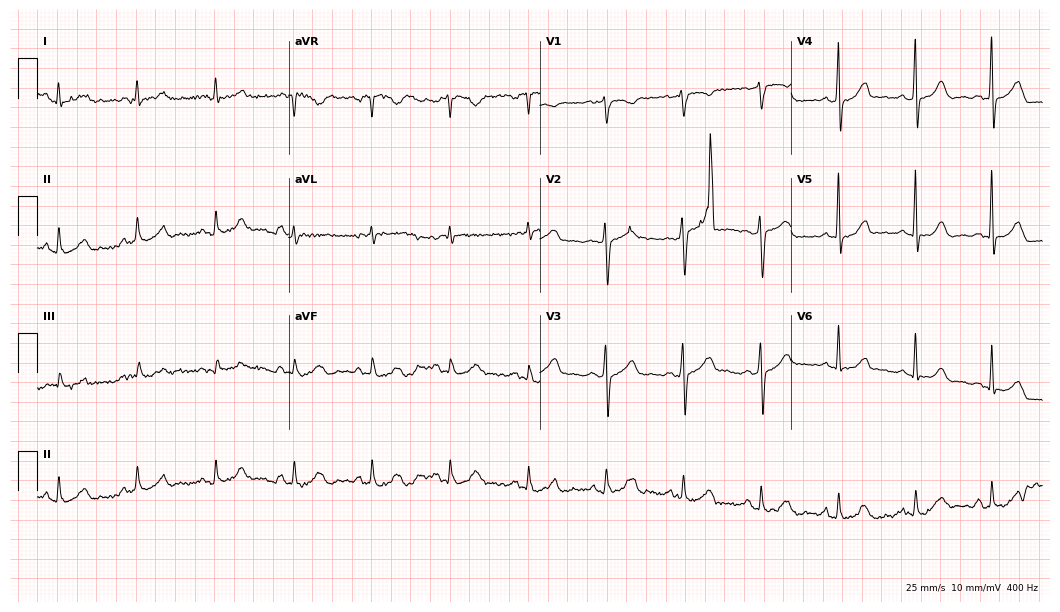
12-lead ECG (10.2-second recording at 400 Hz) from a male patient, 61 years old. Screened for six findings — first-degree AV block, right bundle branch block (RBBB), left bundle branch block (LBBB), sinus bradycardia, atrial fibrillation (AF), sinus tachycardia — none is recorded.